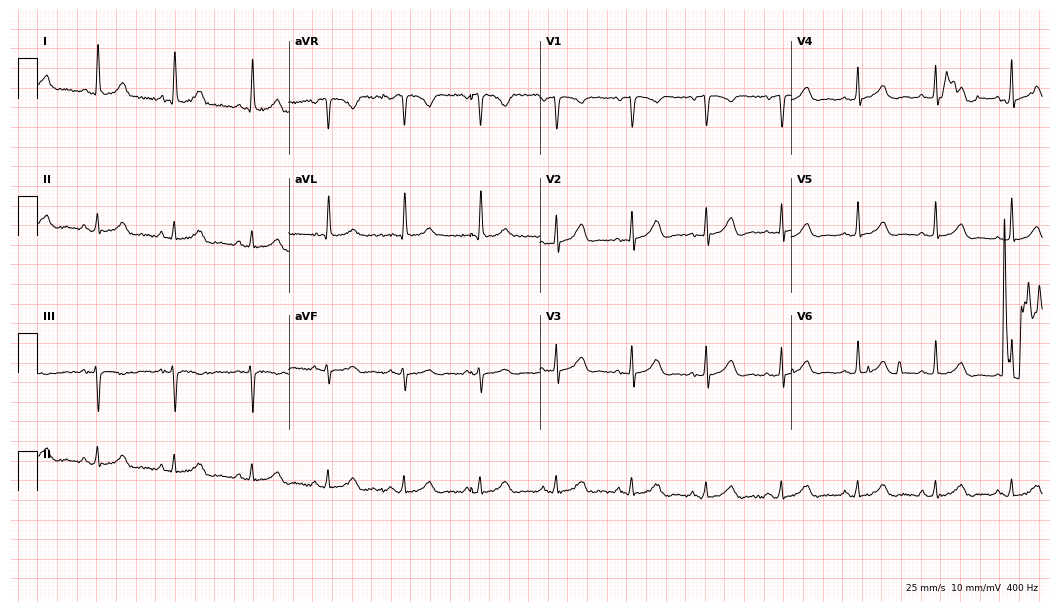
12-lead ECG (10.2-second recording at 400 Hz) from an 81-year-old female patient. Screened for six findings — first-degree AV block, right bundle branch block, left bundle branch block, sinus bradycardia, atrial fibrillation, sinus tachycardia — none is recorded. Findings outside these six are not listed.